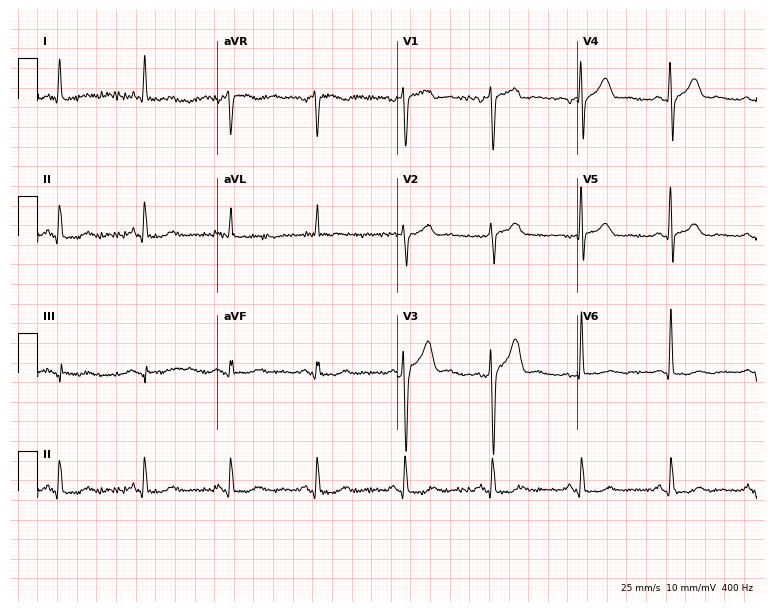
ECG — a man, 75 years old. Labelled as a normal ECG.